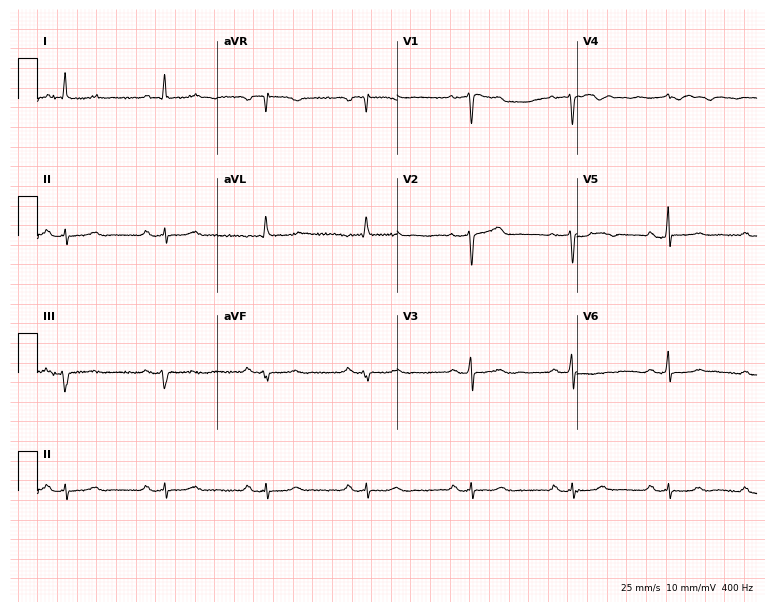
12-lead ECG from a 61-year-old female patient. No first-degree AV block, right bundle branch block, left bundle branch block, sinus bradycardia, atrial fibrillation or sinus tachycardia recorded for this tracing.